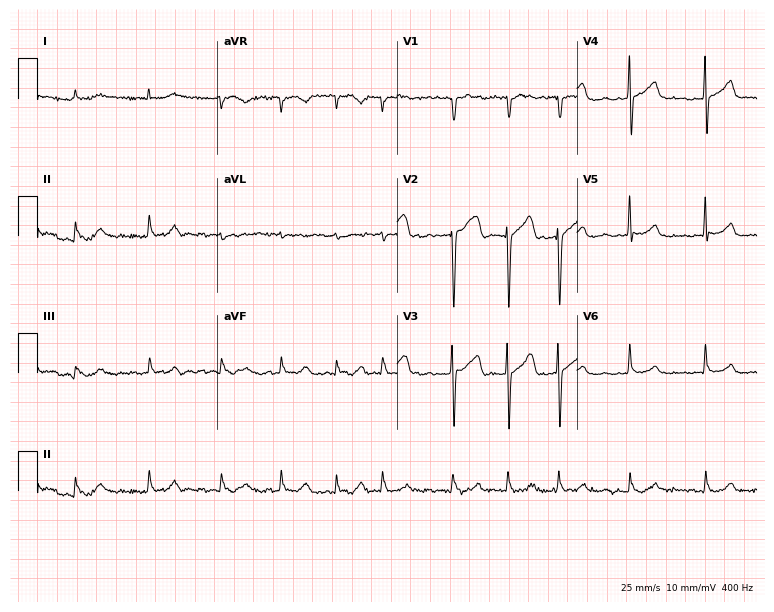
12-lead ECG from an 81-year-old male patient (7.3-second recording at 400 Hz). Shows atrial fibrillation.